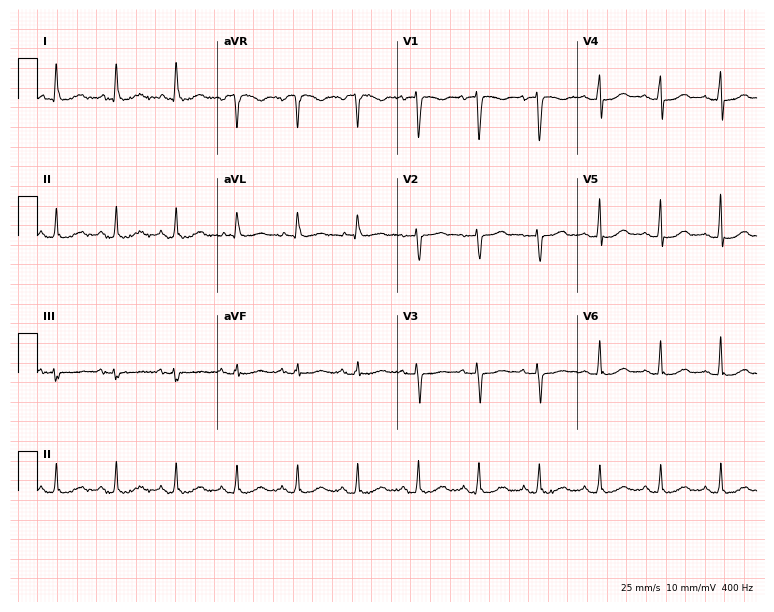
Standard 12-lead ECG recorded from a 67-year-old female. Read as a normal ECG.